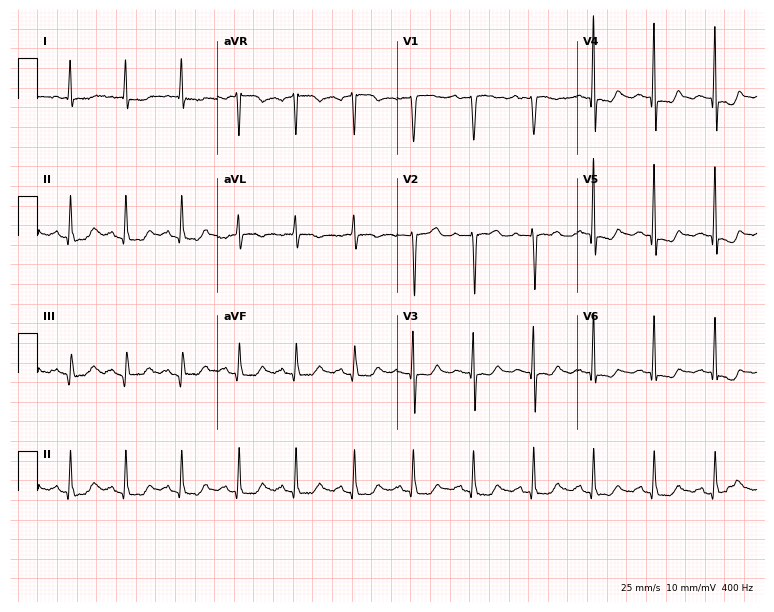
Standard 12-lead ECG recorded from a 76-year-old female. The tracing shows sinus tachycardia (a sinus rate of 100 beats per minute or more).